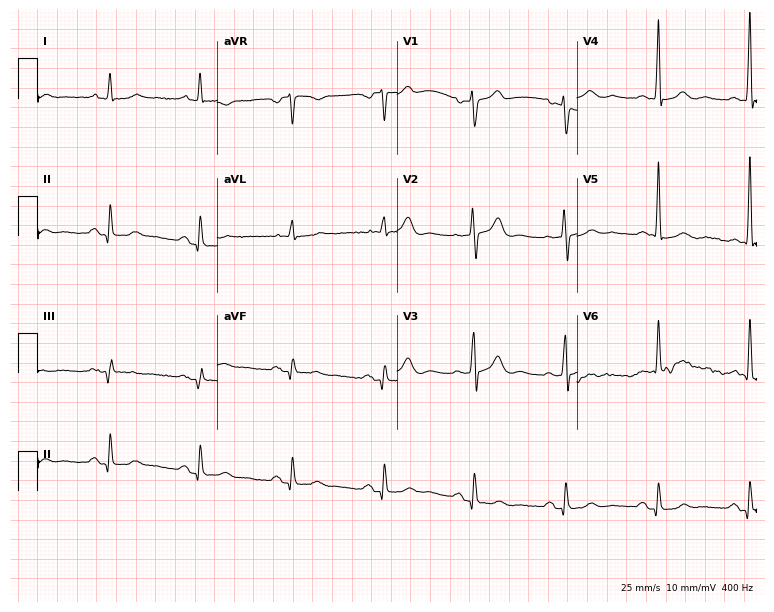
12-lead ECG from a male, 79 years old. No first-degree AV block, right bundle branch block, left bundle branch block, sinus bradycardia, atrial fibrillation or sinus tachycardia recorded for this tracing. Findings outside these six are not listed.